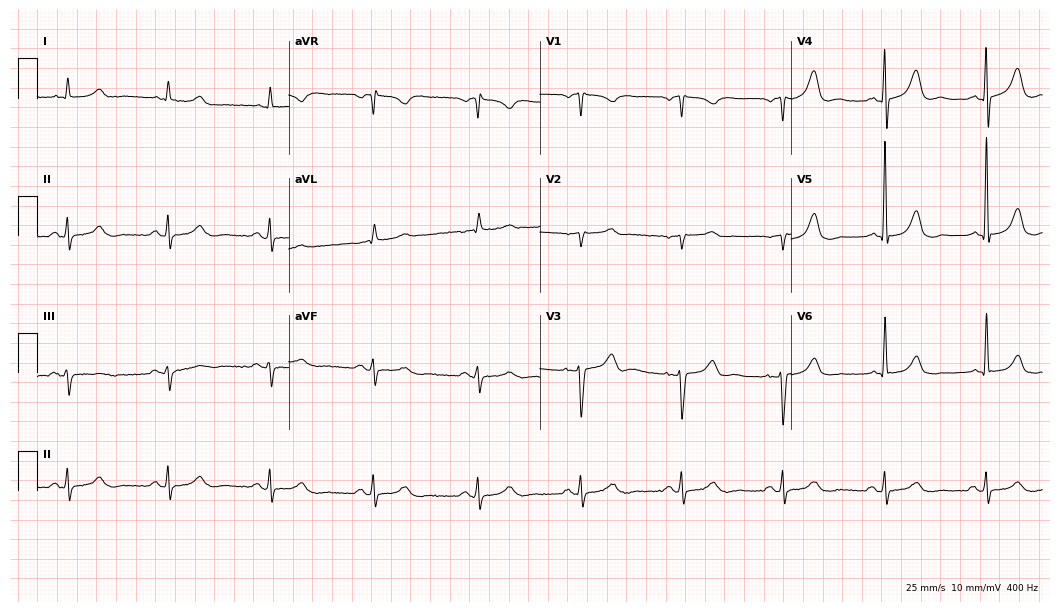
Standard 12-lead ECG recorded from a 79-year-old male patient (10.2-second recording at 400 Hz). Read as a normal ECG.